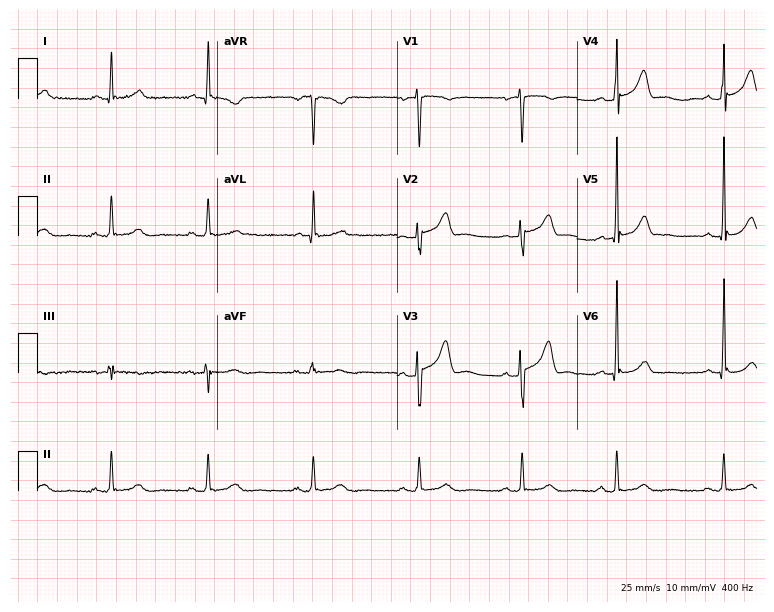
ECG — a 52-year-old female. Labelled as a normal ECG.